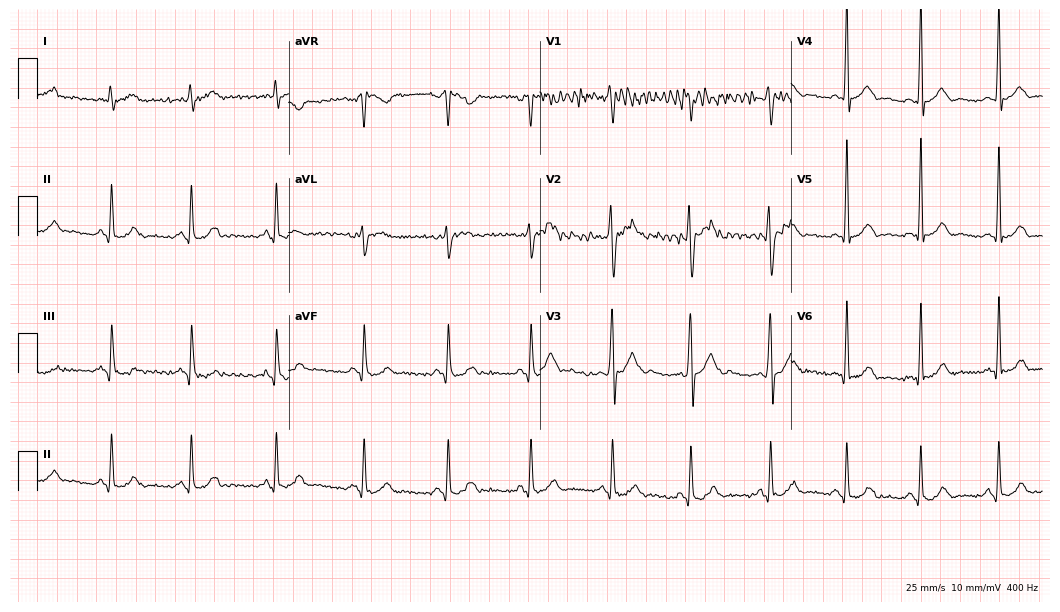
Standard 12-lead ECG recorded from a male, 31 years old. Read as a normal ECG.